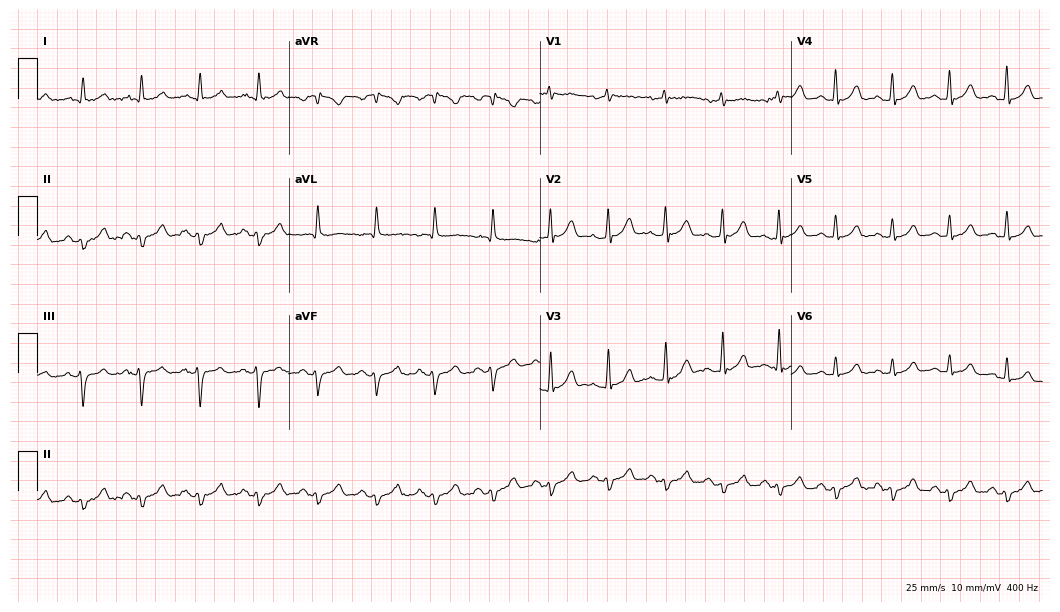
ECG (10.2-second recording at 400 Hz) — a 67-year-old male. Findings include sinus tachycardia (a sinus rate of 100 beats per minute or more).